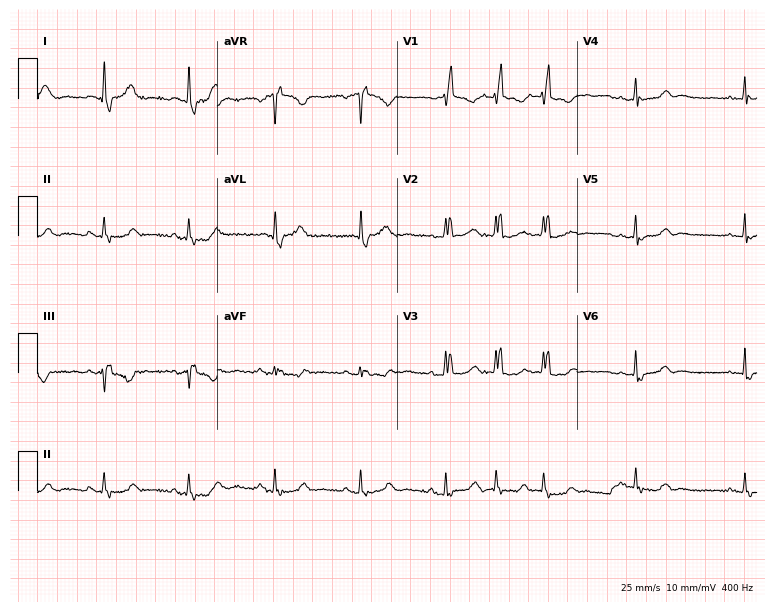
ECG (7.3-second recording at 400 Hz) — a female patient, 85 years old. Findings include right bundle branch block.